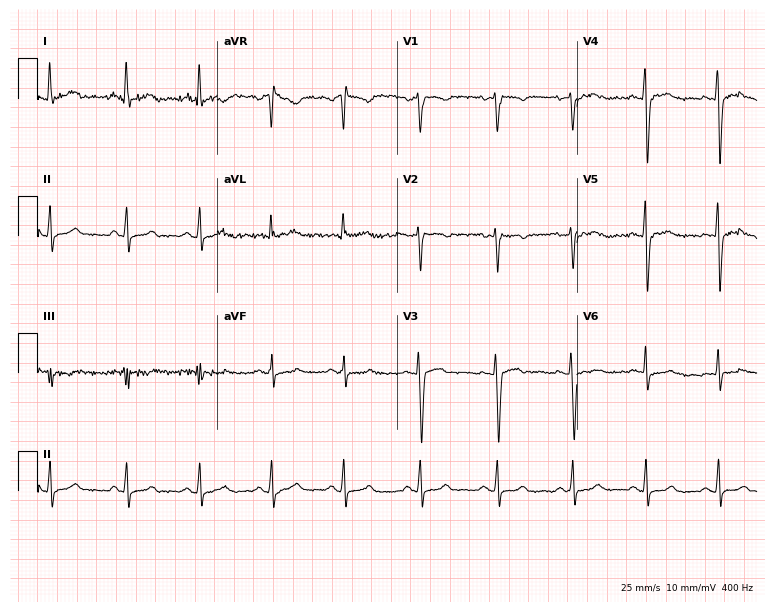
12-lead ECG (7.3-second recording at 400 Hz) from a female patient, 23 years old. Labelled as a normal ECG.